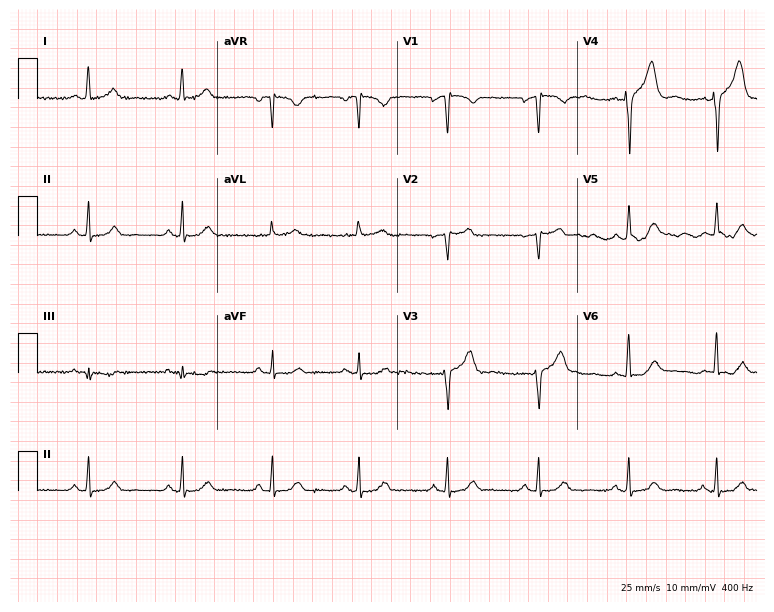
Electrocardiogram (7.3-second recording at 400 Hz), a male, 63 years old. Of the six screened findings (first-degree AV block, right bundle branch block, left bundle branch block, sinus bradycardia, atrial fibrillation, sinus tachycardia), none is recorded. Findings outside these six are not listed.